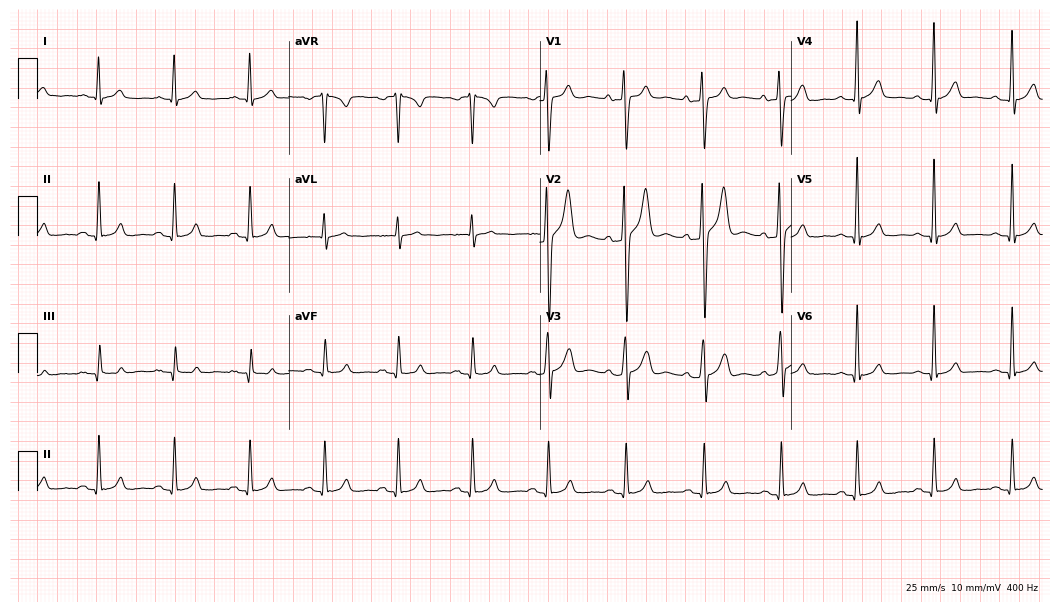
ECG — a man, 32 years old. Labelled as a normal ECG.